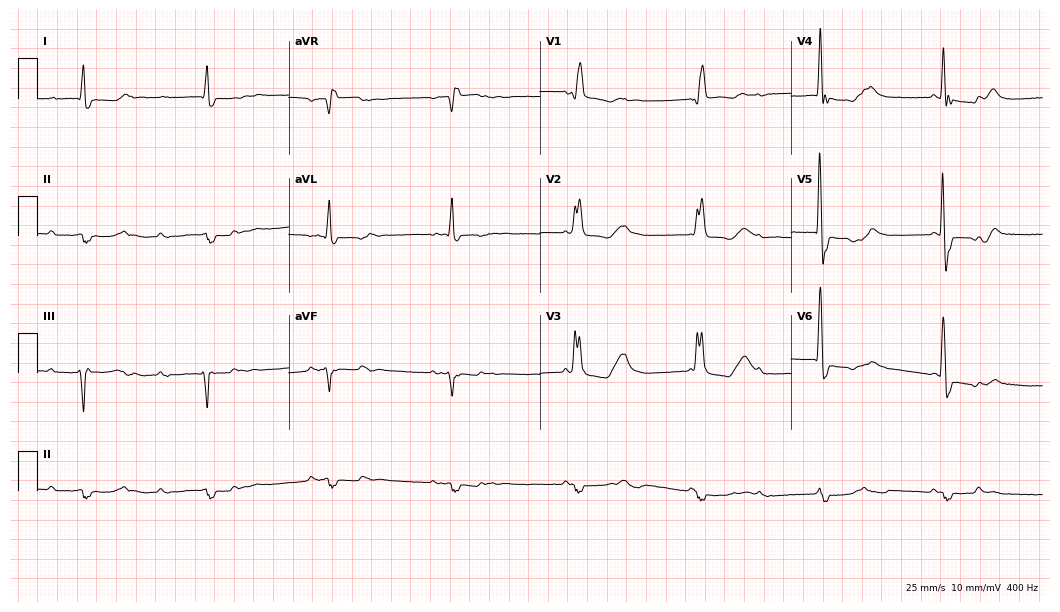
Electrocardiogram, a 79-year-old male. Interpretation includes right bundle branch block (RBBB).